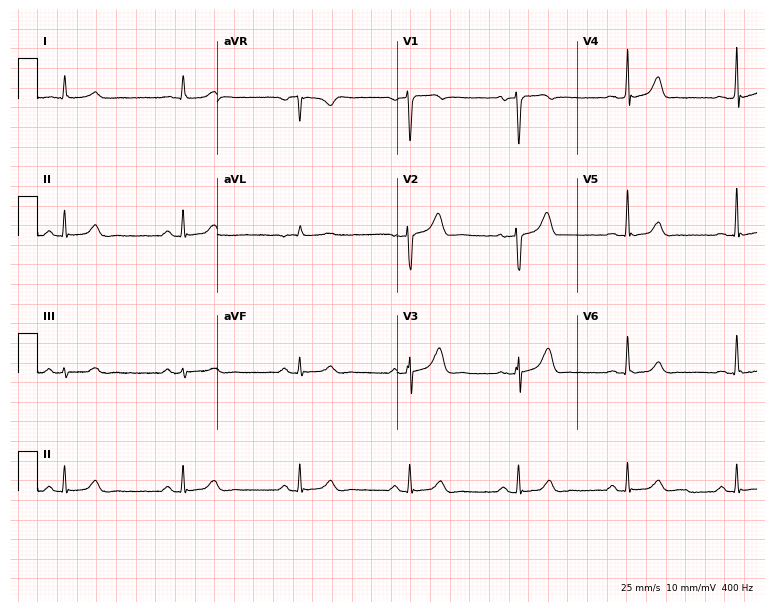
Resting 12-lead electrocardiogram (7.3-second recording at 400 Hz). Patient: a man, 54 years old. Read as a normal ECG.